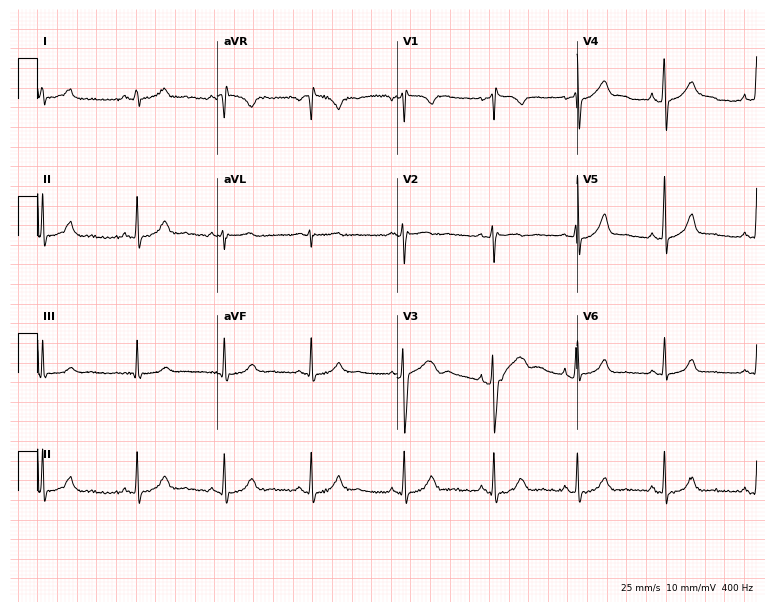
Resting 12-lead electrocardiogram. Patient: a 32-year-old female. None of these six findings is recorded: first-degree AV block, right bundle branch block, left bundle branch block, sinus bradycardia, atrial fibrillation, sinus tachycardia.